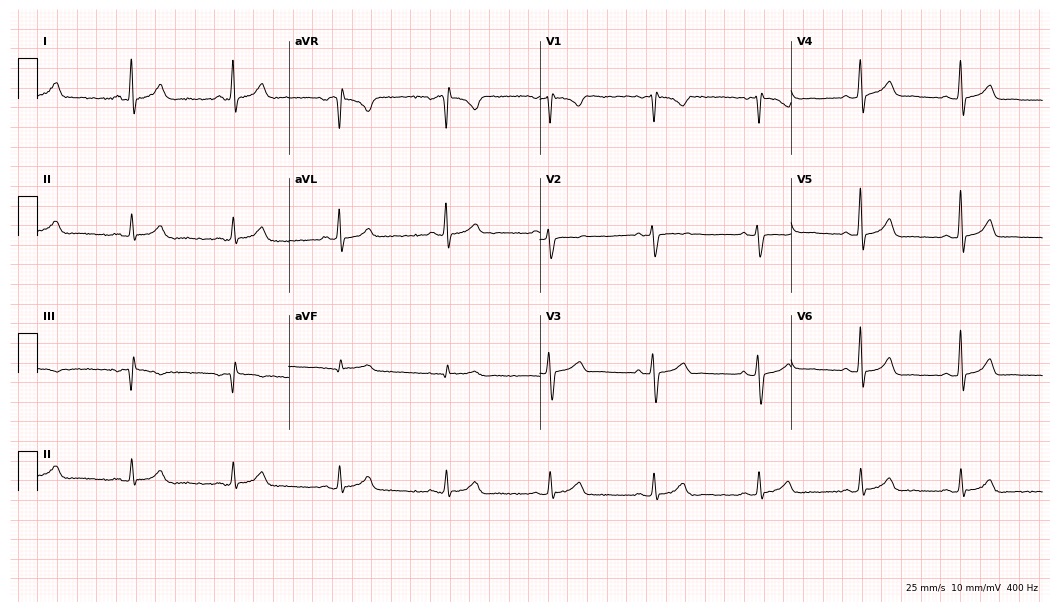
ECG — a female, 46 years old. Labelled as a normal ECG.